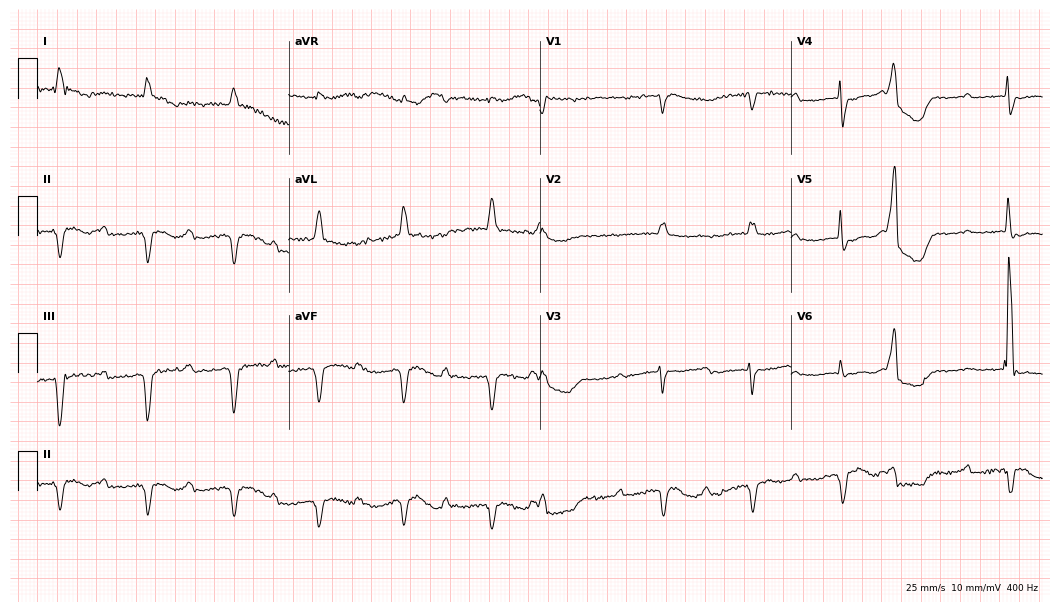
ECG — an 83-year-old male. Screened for six findings — first-degree AV block, right bundle branch block, left bundle branch block, sinus bradycardia, atrial fibrillation, sinus tachycardia — none is recorded.